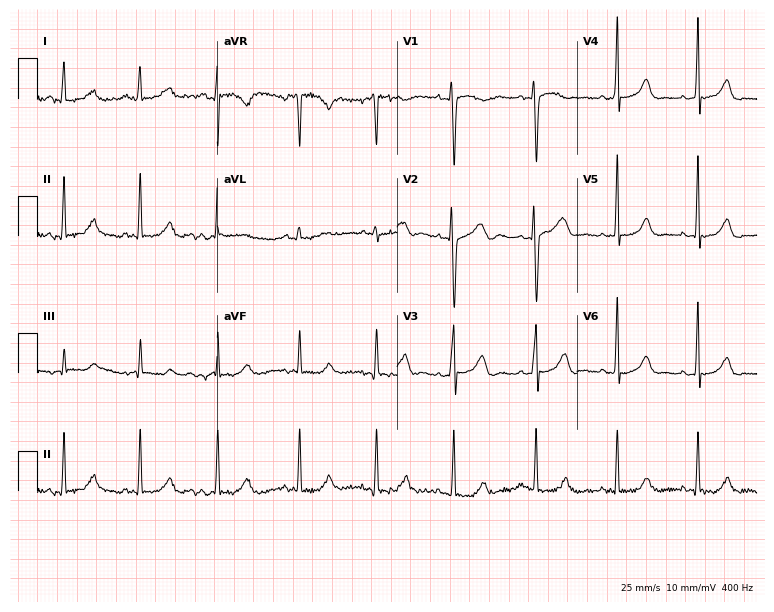
ECG (7.3-second recording at 400 Hz) — a female patient, 39 years old. Screened for six findings — first-degree AV block, right bundle branch block (RBBB), left bundle branch block (LBBB), sinus bradycardia, atrial fibrillation (AF), sinus tachycardia — none is recorded. Findings outside these six are not listed.